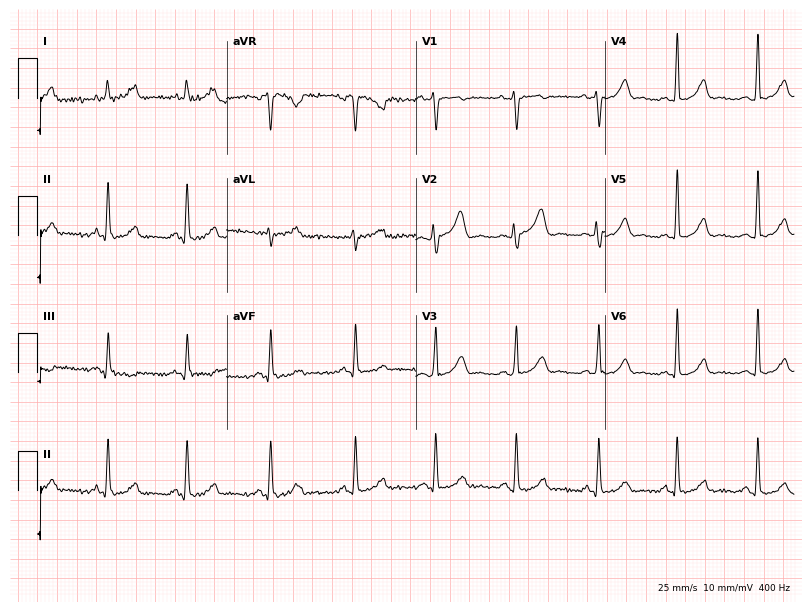
Resting 12-lead electrocardiogram (7.7-second recording at 400 Hz). Patient: a woman, 28 years old. None of these six findings is recorded: first-degree AV block, right bundle branch block, left bundle branch block, sinus bradycardia, atrial fibrillation, sinus tachycardia.